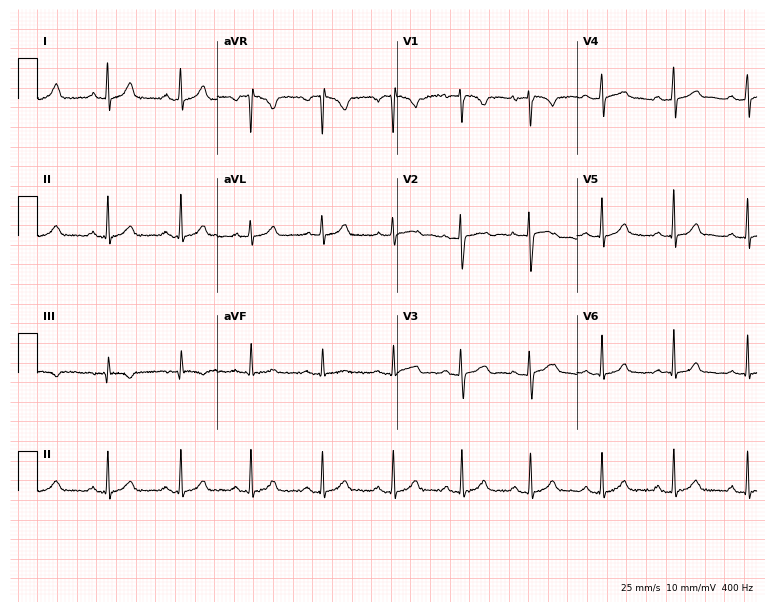
ECG — a 26-year-old female. Labelled as a normal ECG.